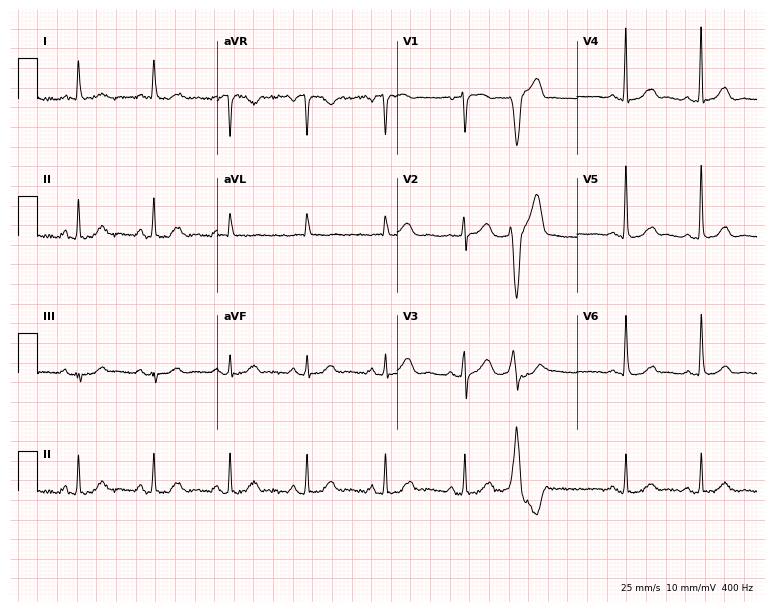
12-lead ECG (7.3-second recording at 400 Hz) from a female, 68 years old. Screened for six findings — first-degree AV block, right bundle branch block, left bundle branch block, sinus bradycardia, atrial fibrillation, sinus tachycardia — none is recorded. Only these six findings were labelled.